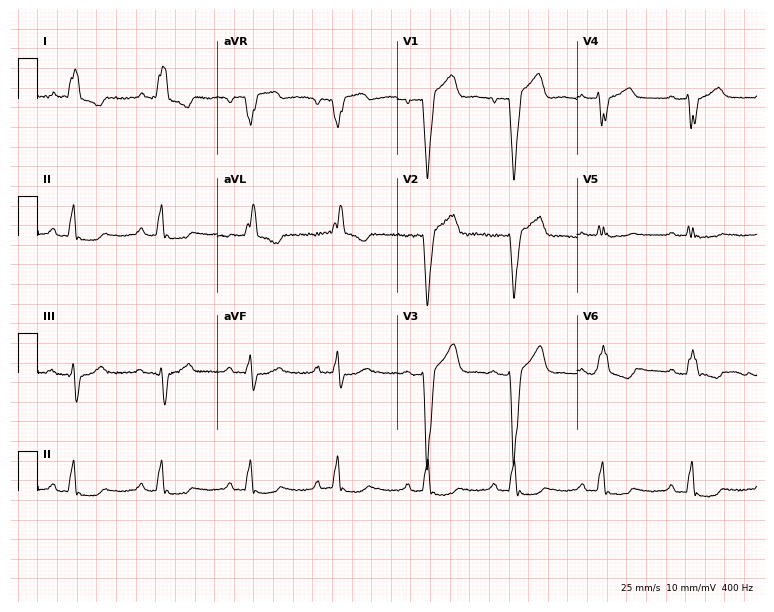
Resting 12-lead electrocardiogram (7.3-second recording at 400 Hz). Patient: an 81-year-old male. The tracing shows left bundle branch block.